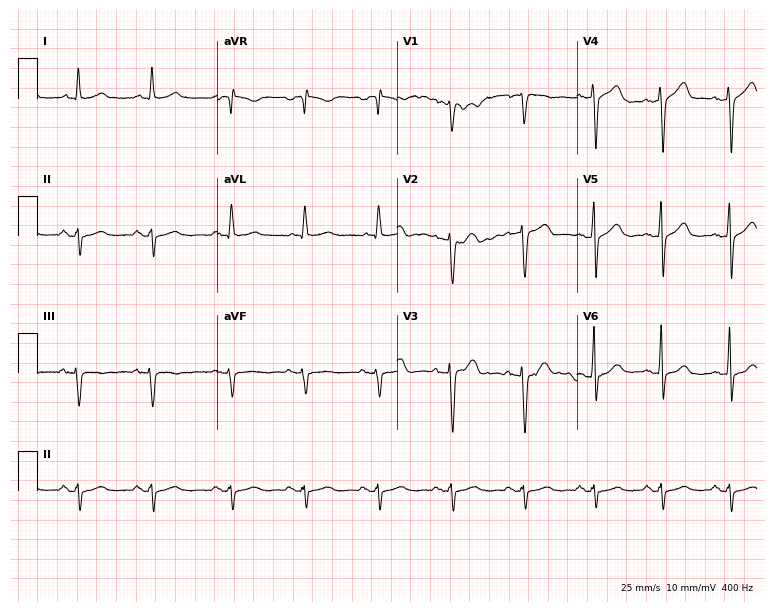
12-lead ECG from a man, 60 years old (7.3-second recording at 400 Hz). No first-degree AV block, right bundle branch block, left bundle branch block, sinus bradycardia, atrial fibrillation or sinus tachycardia recorded for this tracing.